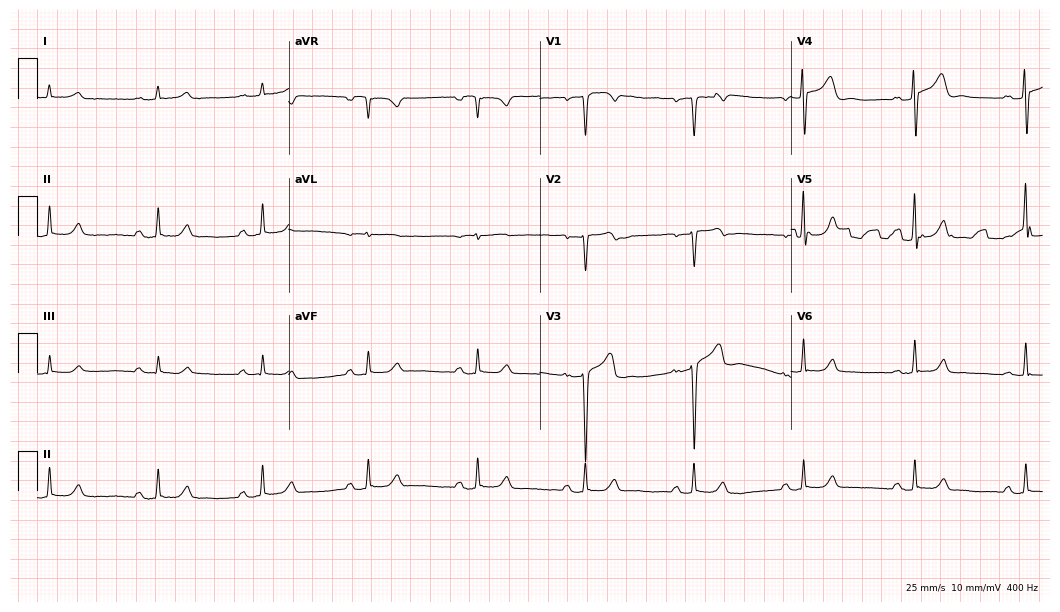
12-lead ECG from a 42-year-old female. Labelled as a normal ECG.